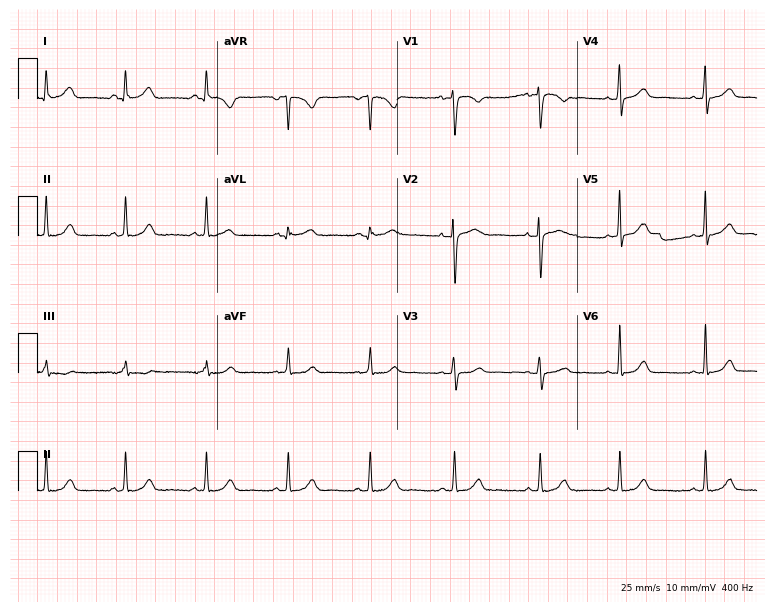
ECG — a female patient, 28 years old. Labelled as a normal ECG.